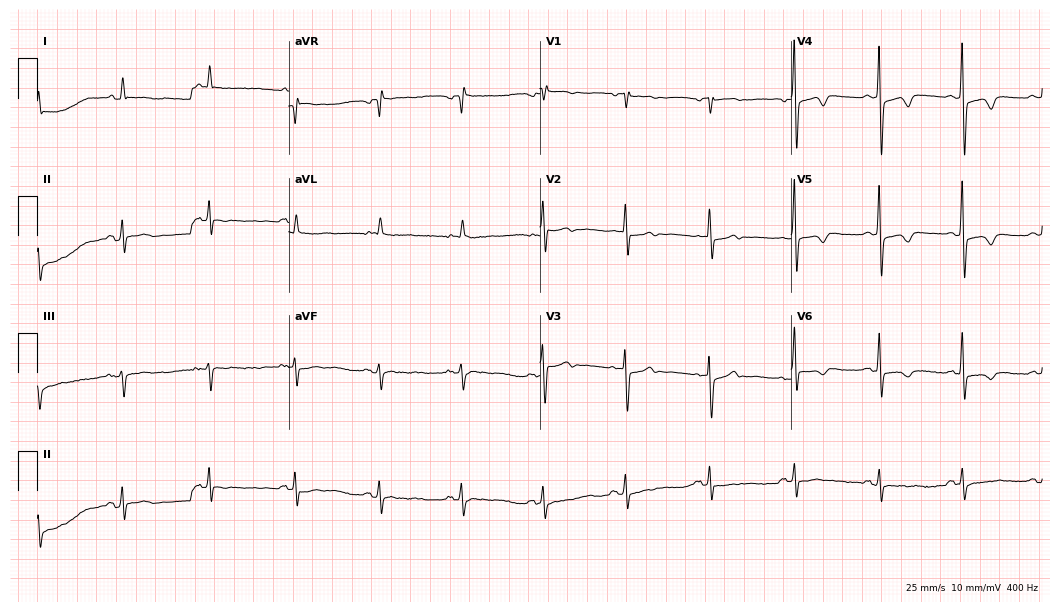
12-lead ECG (10.2-second recording at 400 Hz) from an 80-year-old woman. Screened for six findings — first-degree AV block, right bundle branch block (RBBB), left bundle branch block (LBBB), sinus bradycardia, atrial fibrillation (AF), sinus tachycardia — none is recorded.